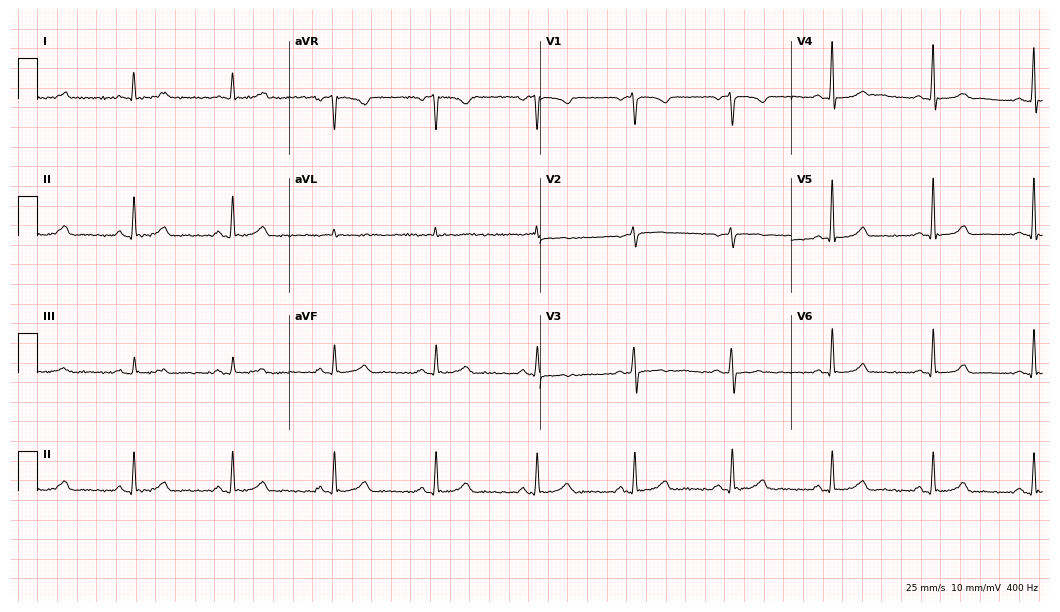
12-lead ECG (10.2-second recording at 400 Hz) from a 56-year-old female. Labelled as a normal ECG.